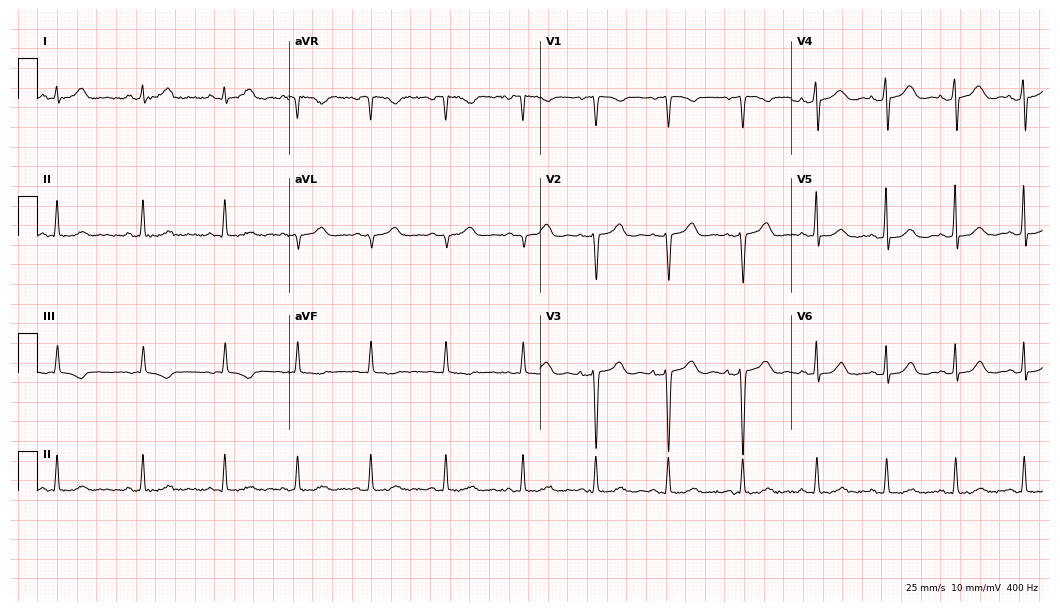
ECG — a female, 30 years old. Labelled as a normal ECG.